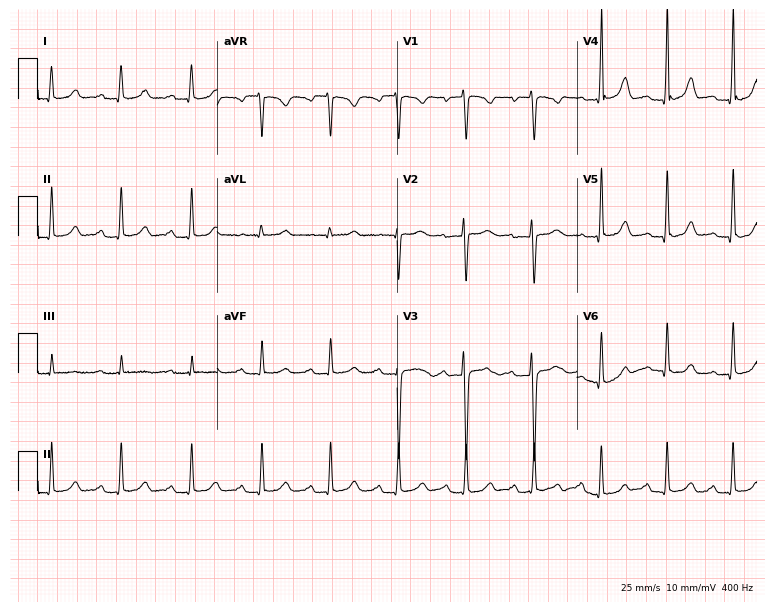
12-lead ECG from a 29-year-old woman. Findings include first-degree AV block.